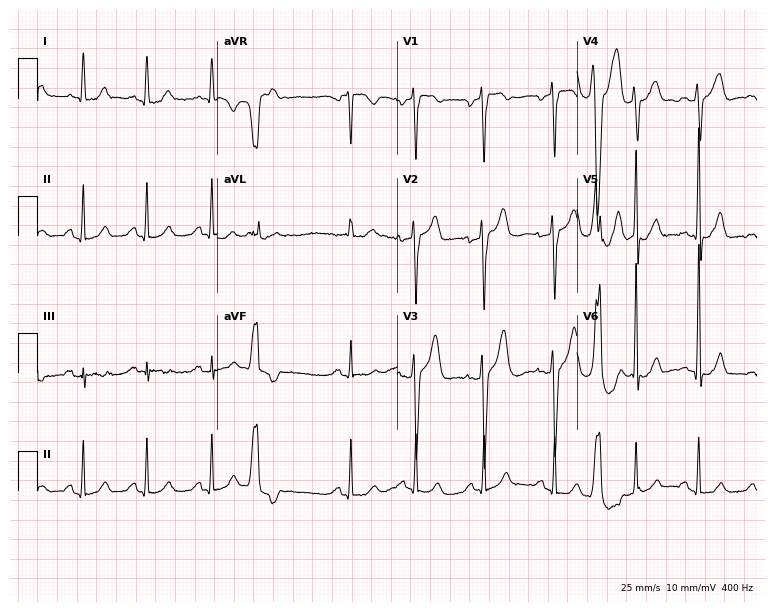
Resting 12-lead electrocardiogram (7.3-second recording at 400 Hz). Patient: a male, 49 years old. None of these six findings is recorded: first-degree AV block, right bundle branch block, left bundle branch block, sinus bradycardia, atrial fibrillation, sinus tachycardia. Only these six findings were labelled.